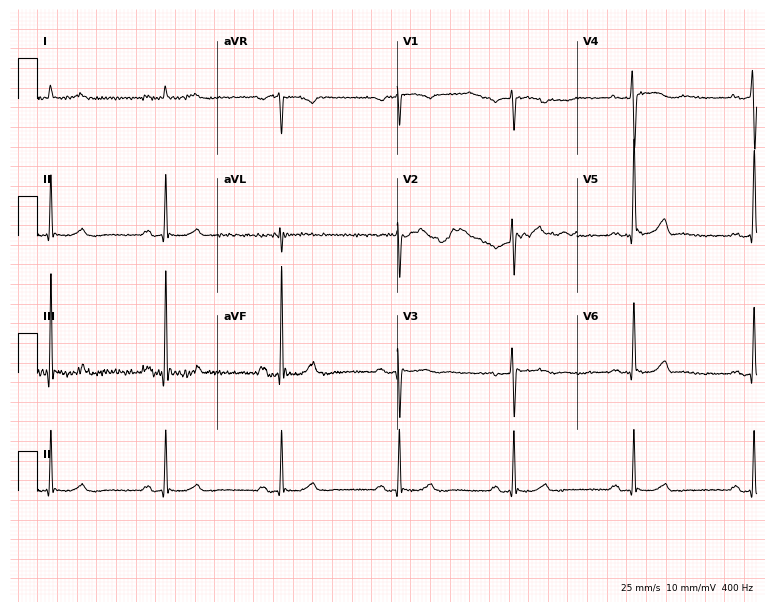
ECG — a 73-year-old female patient. Screened for six findings — first-degree AV block, right bundle branch block (RBBB), left bundle branch block (LBBB), sinus bradycardia, atrial fibrillation (AF), sinus tachycardia — none is recorded. Other findings, if any, are not listed.